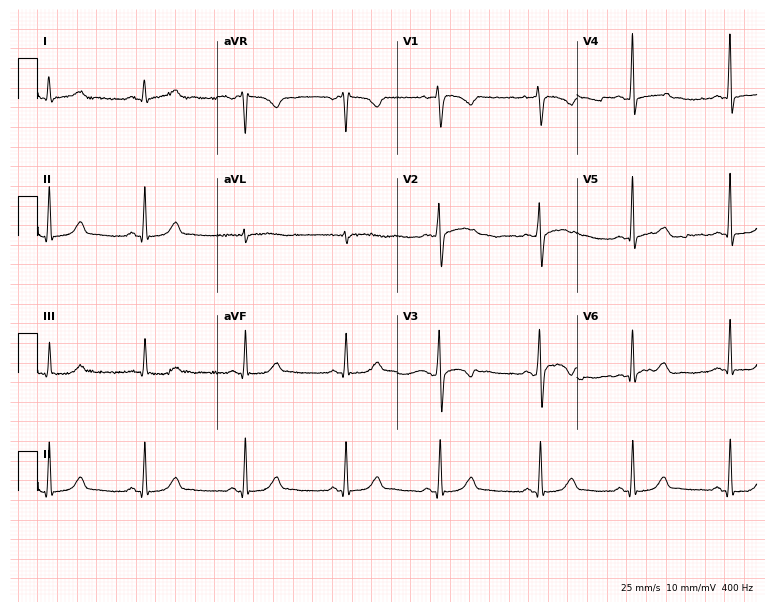
12-lead ECG from a 32-year-old female patient (7.3-second recording at 400 Hz). Recorded interpretation: within normal limits.